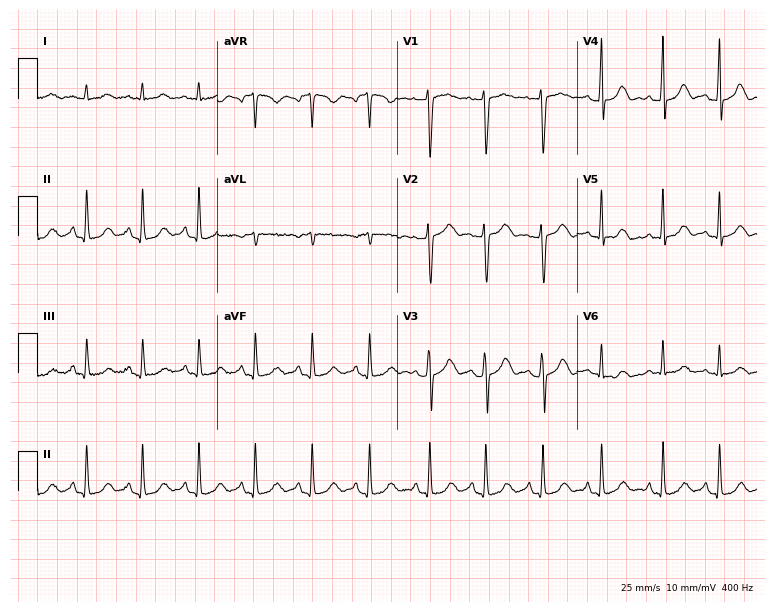
Standard 12-lead ECG recorded from a woman, 29 years old (7.3-second recording at 400 Hz). The tracing shows sinus tachycardia (a sinus rate of 100 beats per minute or more).